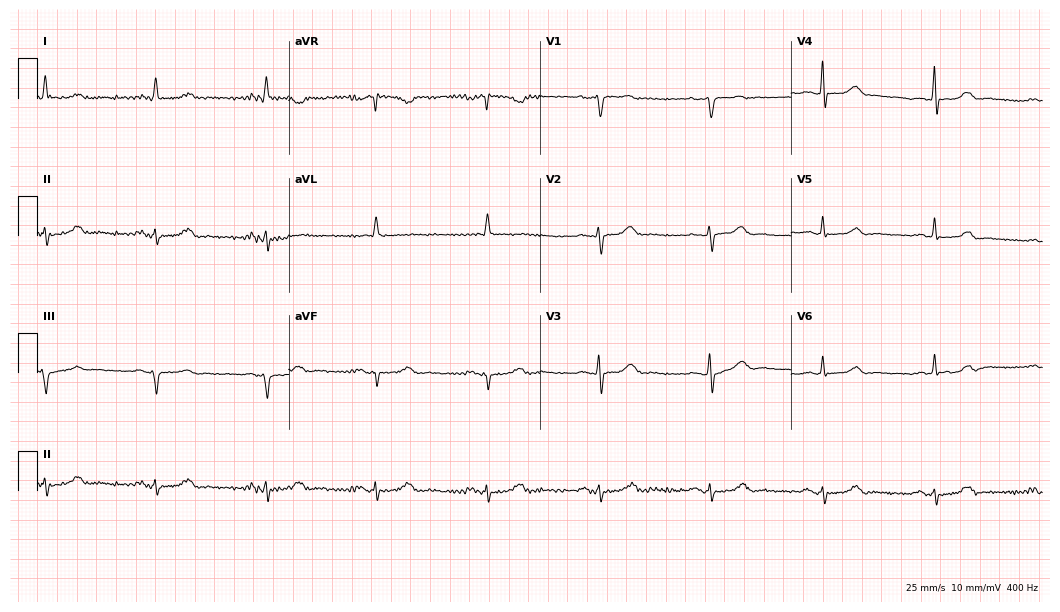
ECG (10.2-second recording at 400 Hz) — a man, 82 years old. Labelled as a normal ECG.